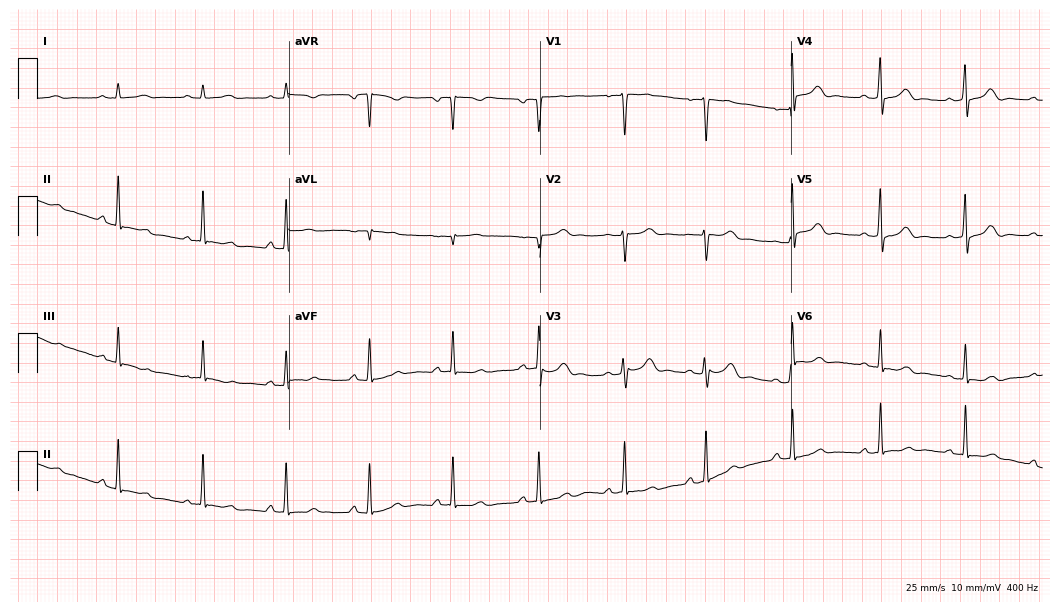
12-lead ECG (10.2-second recording at 400 Hz) from a female, 35 years old. Labelled as a normal ECG.